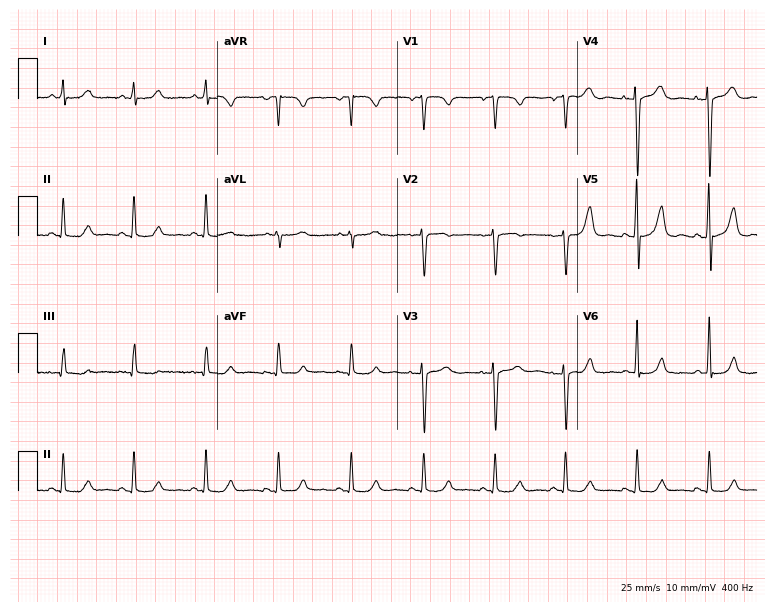
12-lead ECG from a 63-year-old woman (7.3-second recording at 400 Hz). No first-degree AV block, right bundle branch block, left bundle branch block, sinus bradycardia, atrial fibrillation or sinus tachycardia recorded for this tracing.